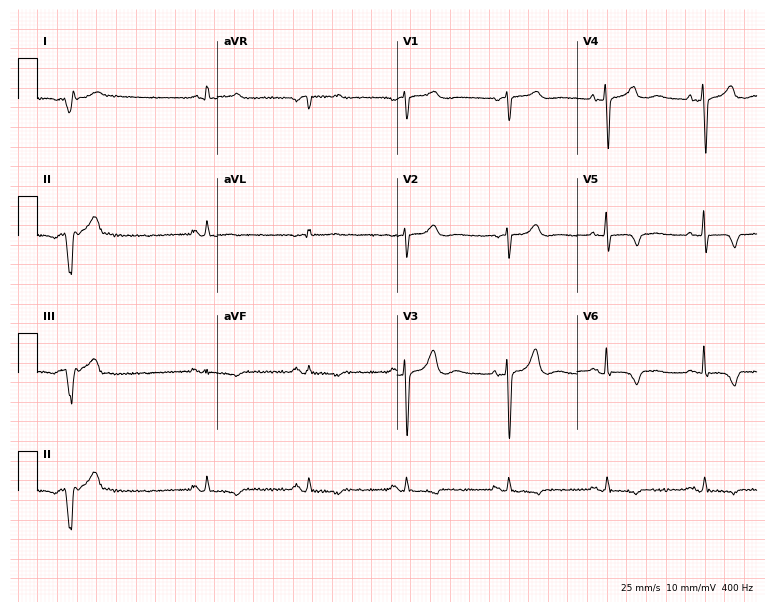
Standard 12-lead ECG recorded from a 65-year-old male patient. None of these six findings is recorded: first-degree AV block, right bundle branch block, left bundle branch block, sinus bradycardia, atrial fibrillation, sinus tachycardia.